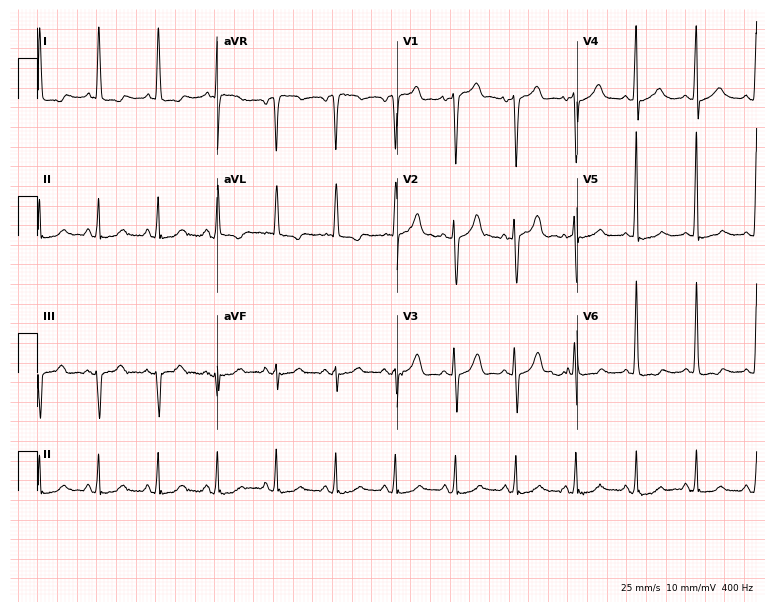
12-lead ECG (7.3-second recording at 400 Hz) from an 81-year-old female. Screened for six findings — first-degree AV block, right bundle branch block, left bundle branch block, sinus bradycardia, atrial fibrillation, sinus tachycardia — none is recorded. Findings outside these six are not listed.